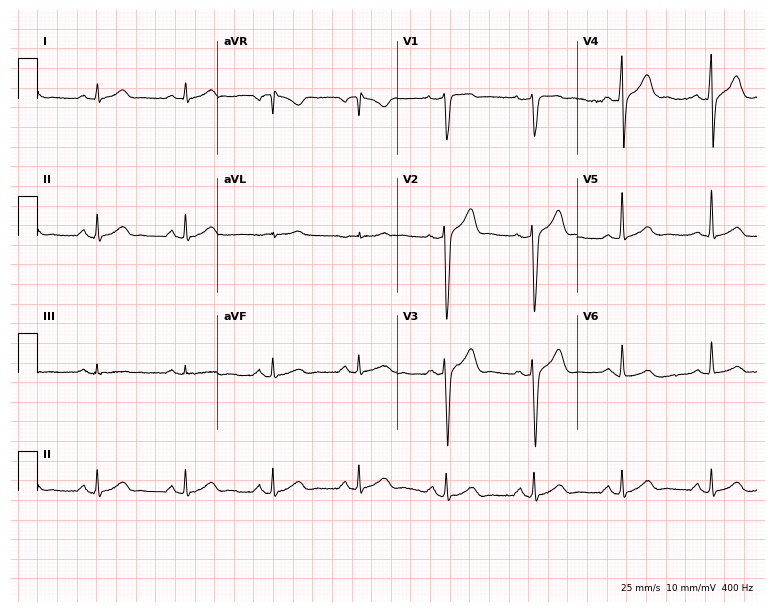
Standard 12-lead ECG recorded from a male, 45 years old. Read as a normal ECG.